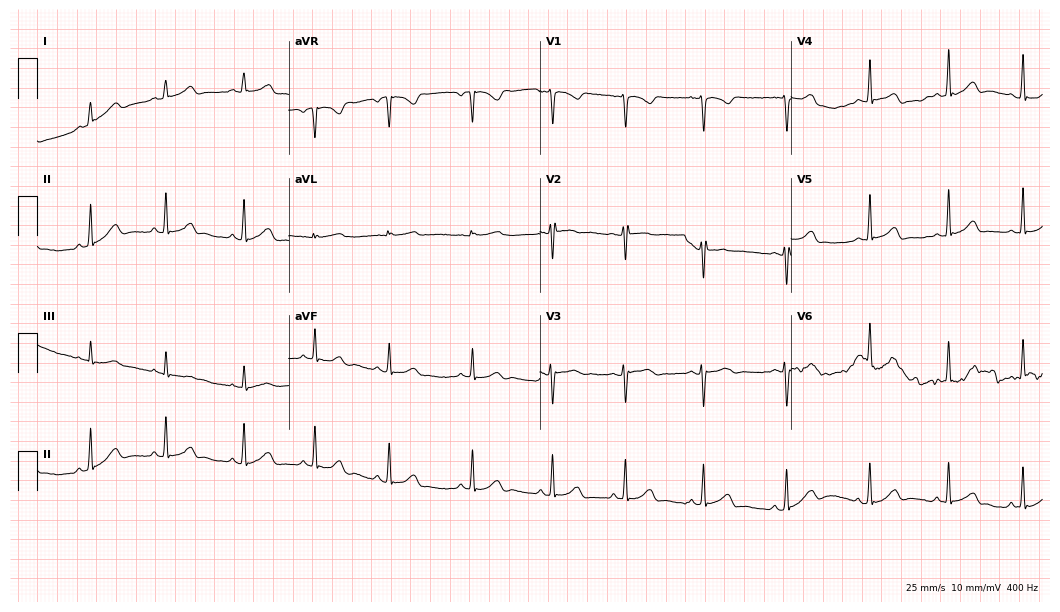
12-lead ECG from a 17-year-old woman (10.2-second recording at 400 Hz). Recorded interpretation: within normal limits.